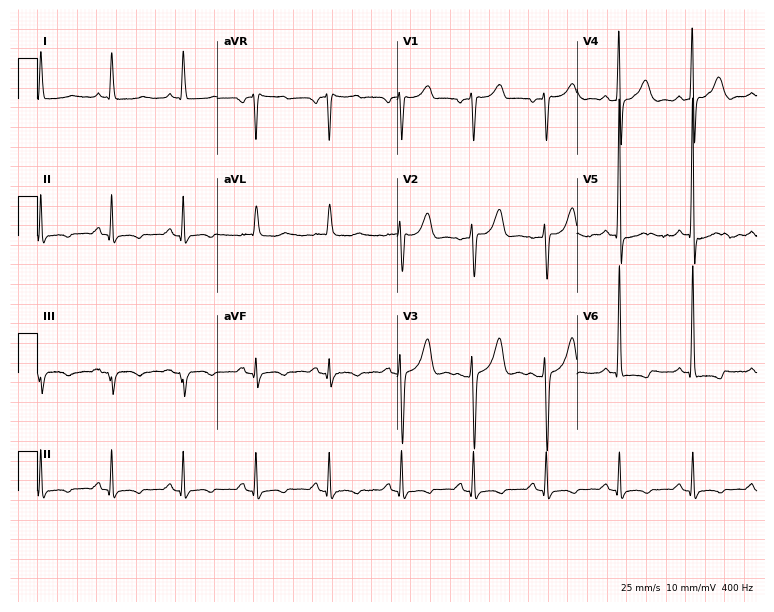
12-lead ECG from a 63-year-old female patient. No first-degree AV block, right bundle branch block, left bundle branch block, sinus bradycardia, atrial fibrillation or sinus tachycardia recorded for this tracing.